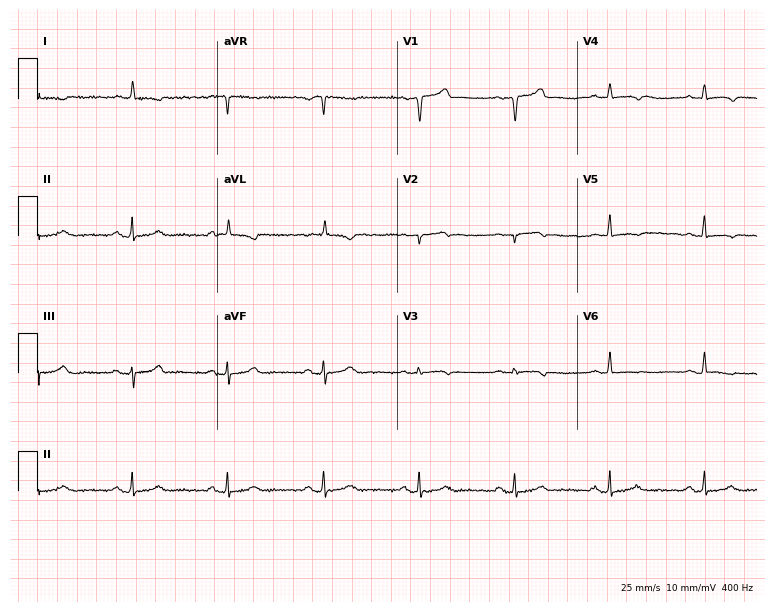
Resting 12-lead electrocardiogram (7.3-second recording at 400 Hz). Patient: a 76-year-old male. None of these six findings is recorded: first-degree AV block, right bundle branch block, left bundle branch block, sinus bradycardia, atrial fibrillation, sinus tachycardia. Only these six findings were labelled.